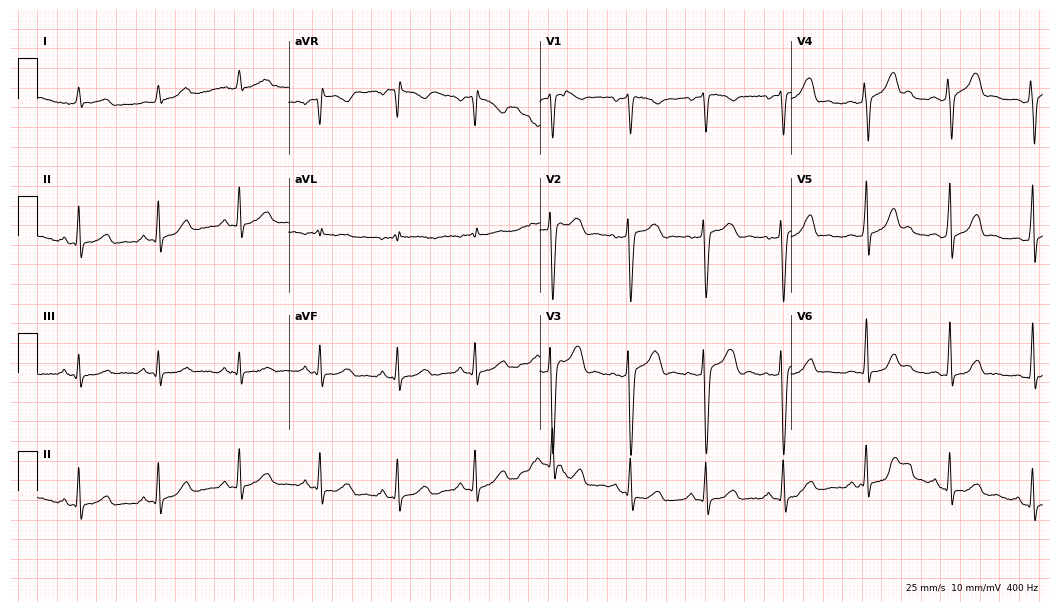
12-lead ECG from a male patient, 43 years old. Screened for six findings — first-degree AV block, right bundle branch block (RBBB), left bundle branch block (LBBB), sinus bradycardia, atrial fibrillation (AF), sinus tachycardia — none is recorded.